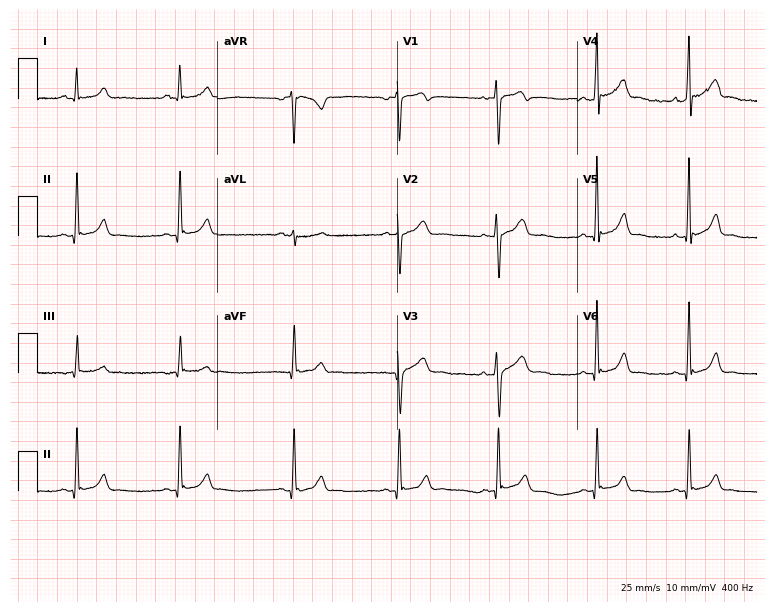
12-lead ECG from a 30-year-old male. Labelled as a normal ECG.